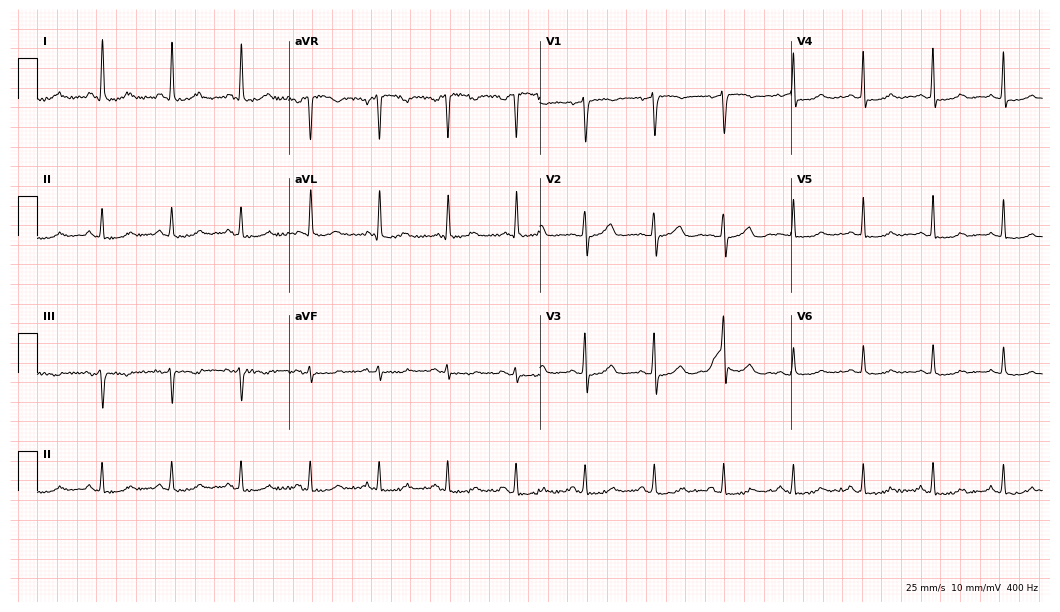
ECG (10.2-second recording at 400 Hz) — a female, 84 years old. Screened for six findings — first-degree AV block, right bundle branch block, left bundle branch block, sinus bradycardia, atrial fibrillation, sinus tachycardia — none is recorded.